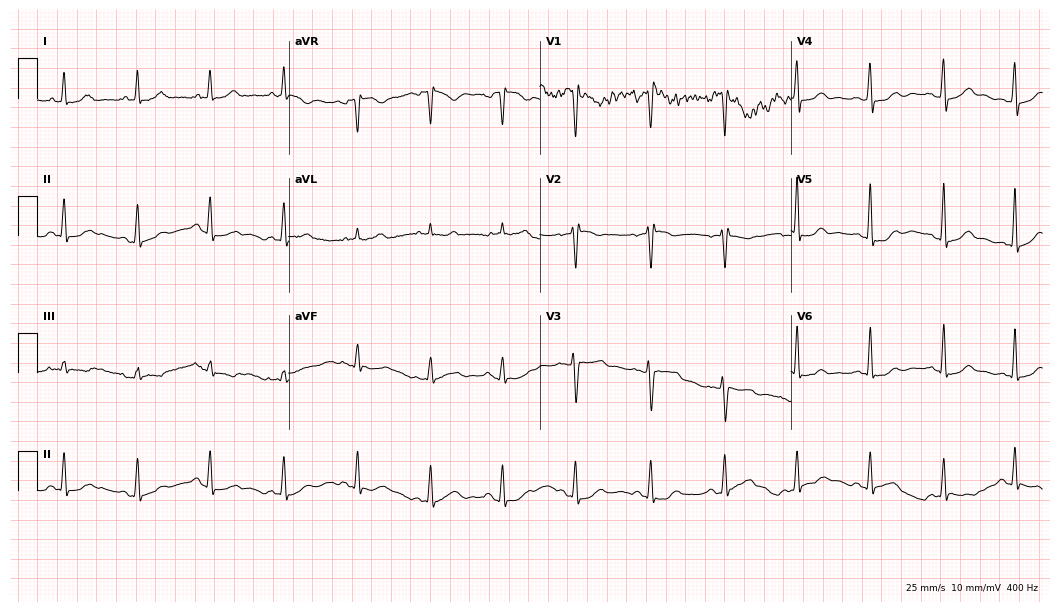
12-lead ECG from a female patient, 41 years old. Screened for six findings — first-degree AV block, right bundle branch block (RBBB), left bundle branch block (LBBB), sinus bradycardia, atrial fibrillation (AF), sinus tachycardia — none is recorded. Only these six findings were labelled.